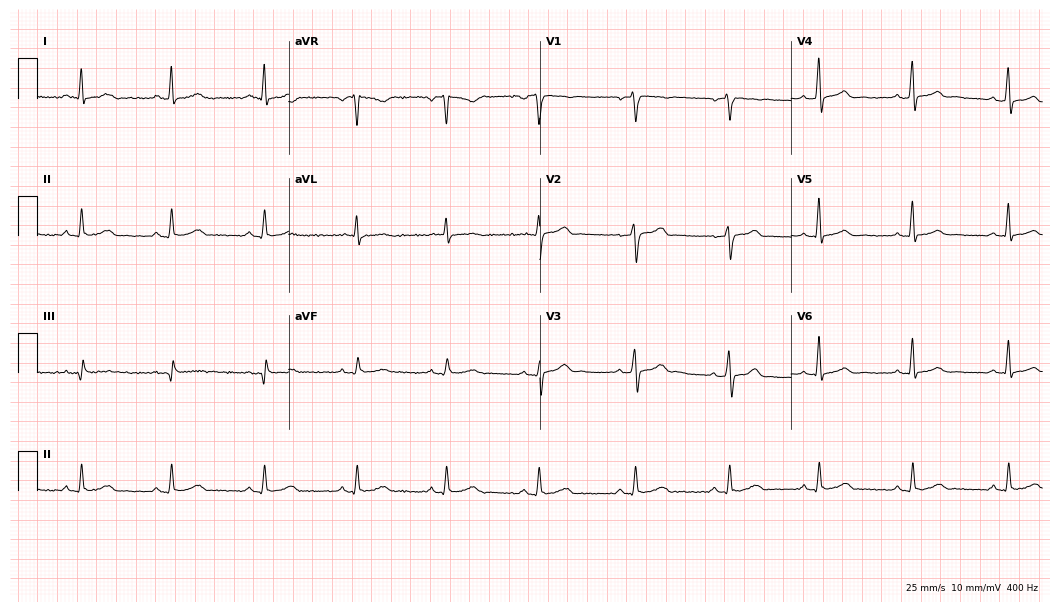
Resting 12-lead electrocardiogram. Patient: a 41-year-old man. Read as a normal ECG.